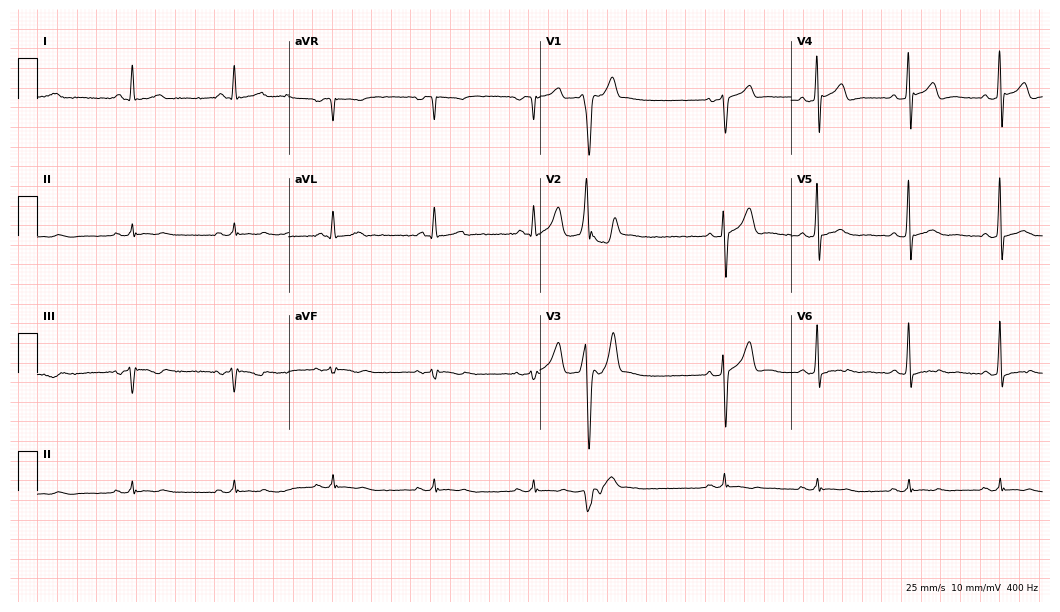
12-lead ECG from a male, 67 years old. No first-degree AV block, right bundle branch block, left bundle branch block, sinus bradycardia, atrial fibrillation or sinus tachycardia recorded for this tracing. Only these six findings were labelled.